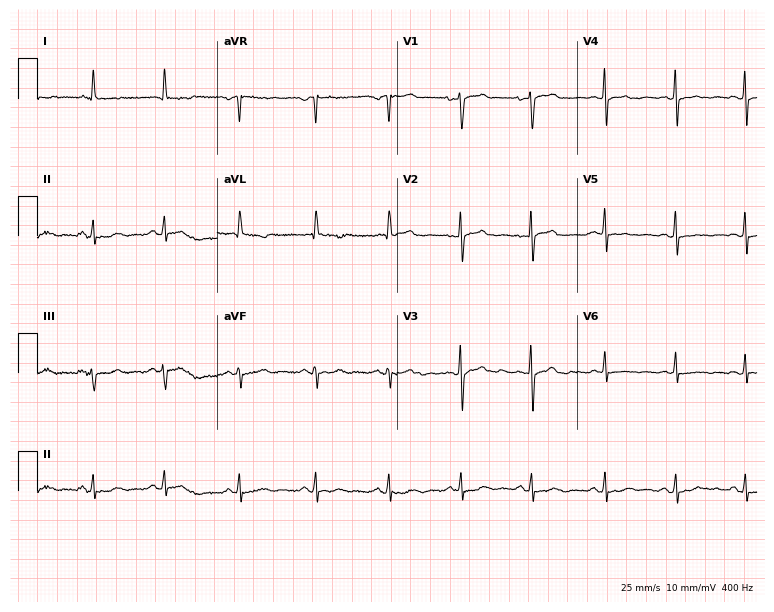
ECG (7.3-second recording at 400 Hz) — a 75-year-old female. Screened for six findings — first-degree AV block, right bundle branch block (RBBB), left bundle branch block (LBBB), sinus bradycardia, atrial fibrillation (AF), sinus tachycardia — none is recorded. Findings outside these six are not listed.